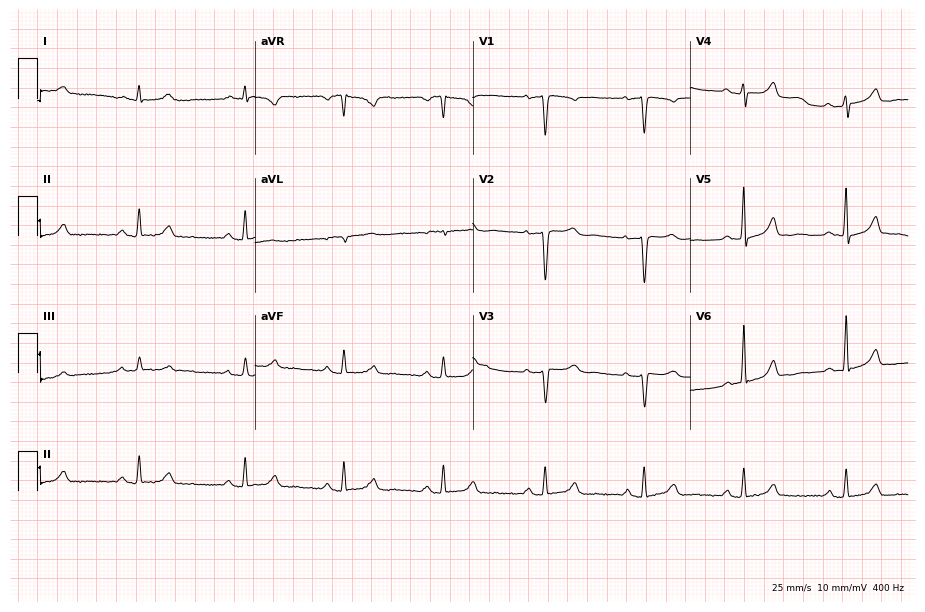
ECG — a female, 45 years old. Screened for six findings — first-degree AV block, right bundle branch block, left bundle branch block, sinus bradycardia, atrial fibrillation, sinus tachycardia — none is recorded. Only these six findings were labelled.